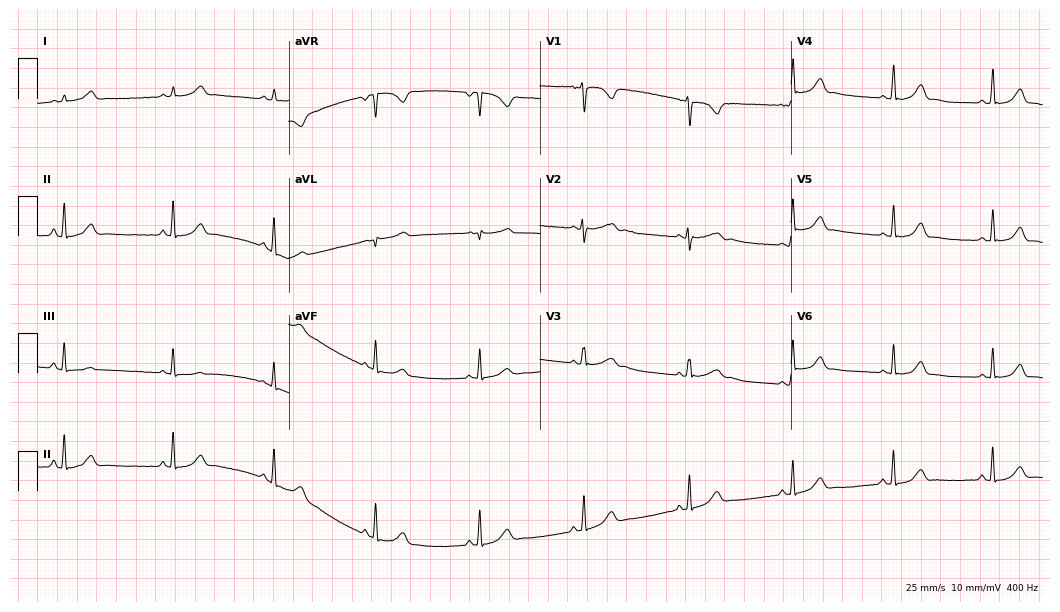
ECG (10.2-second recording at 400 Hz) — a female patient, 19 years old. Labelled as a normal ECG.